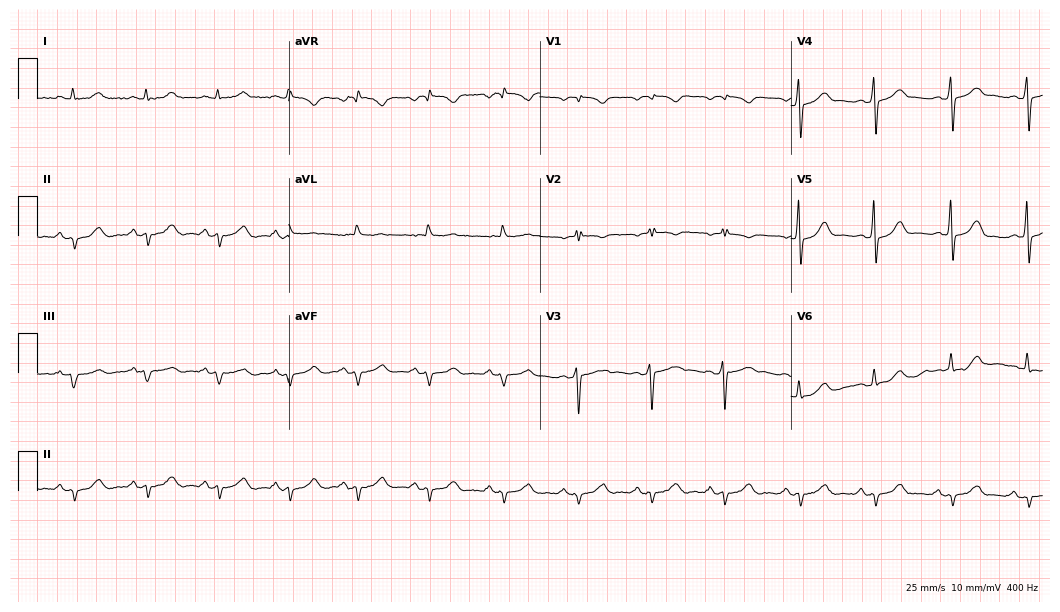
12-lead ECG from a male patient, 57 years old. Screened for six findings — first-degree AV block, right bundle branch block, left bundle branch block, sinus bradycardia, atrial fibrillation, sinus tachycardia — none is recorded.